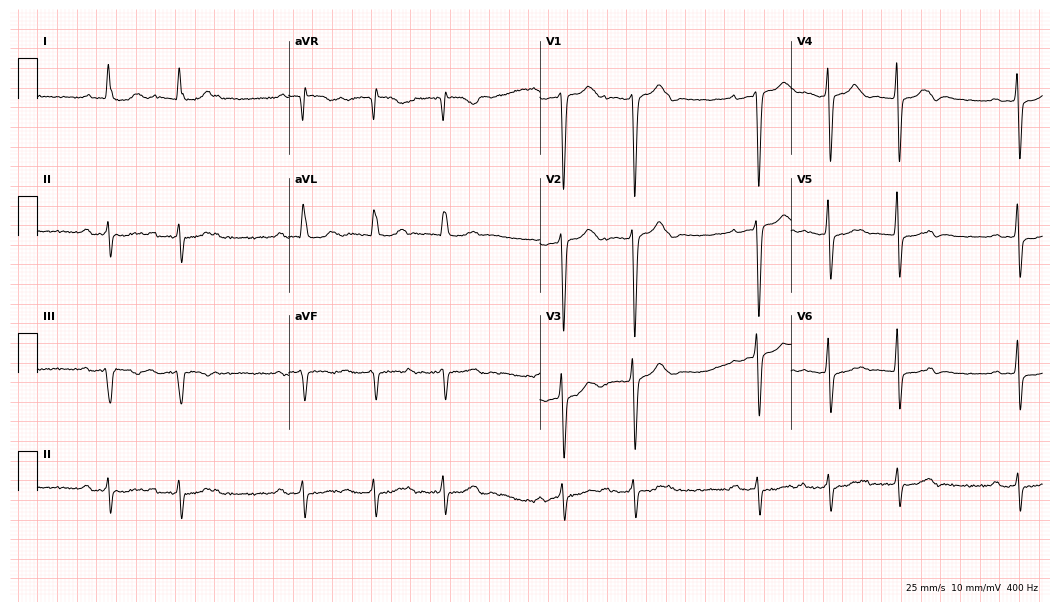
Electrocardiogram, a 79-year-old woman. Of the six screened findings (first-degree AV block, right bundle branch block, left bundle branch block, sinus bradycardia, atrial fibrillation, sinus tachycardia), none is recorded.